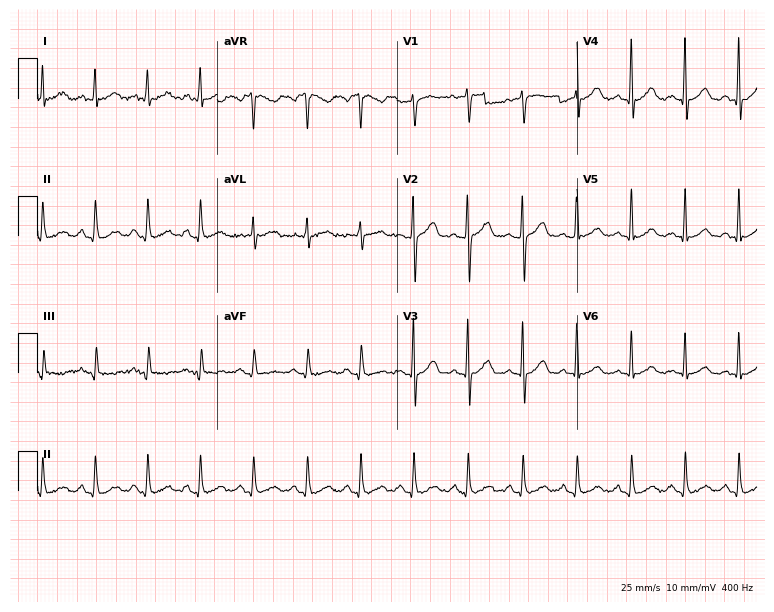
Standard 12-lead ECG recorded from a 69-year-old female. The tracing shows sinus tachycardia (a sinus rate of 100 beats per minute or more).